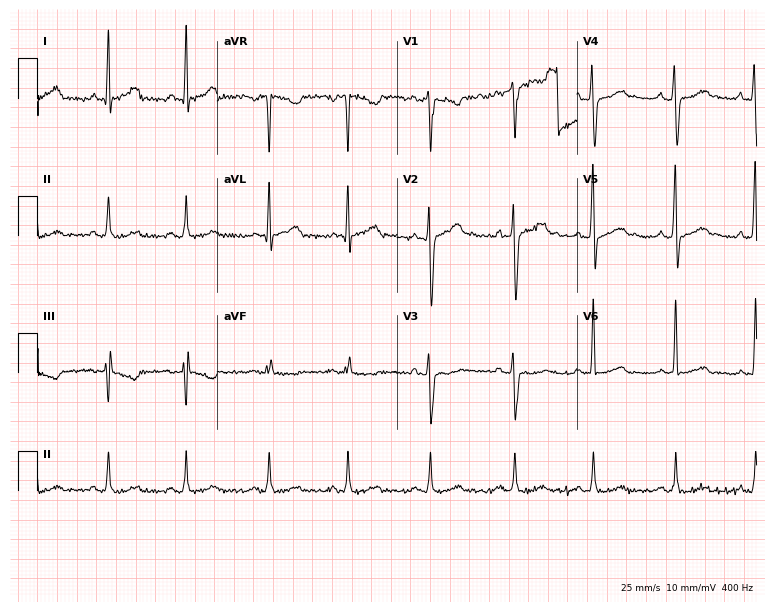
Resting 12-lead electrocardiogram (7.3-second recording at 400 Hz). Patient: a male, 35 years old. None of these six findings is recorded: first-degree AV block, right bundle branch block, left bundle branch block, sinus bradycardia, atrial fibrillation, sinus tachycardia. Other findings, if any, are not listed.